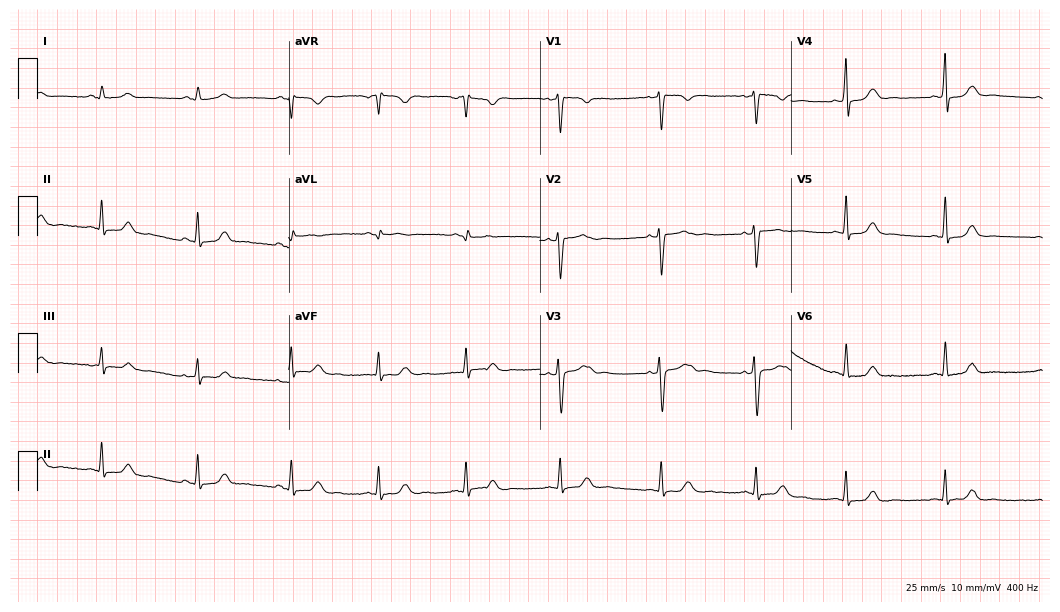
12-lead ECG from a 41-year-old female (10.2-second recording at 400 Hz). No first-degree AV block, right bundle branch block, left bundle branch block, sinus bradycardia, atrial fibrillation or sinus tachycardia recorded for this tracing.